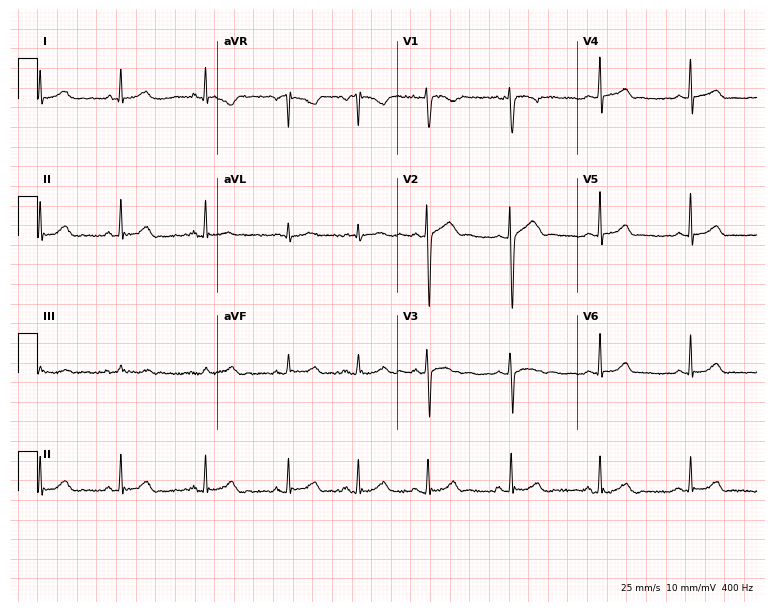
Electrocardiogram, a 22-year-old female. Overall reading on record: normal ECG.